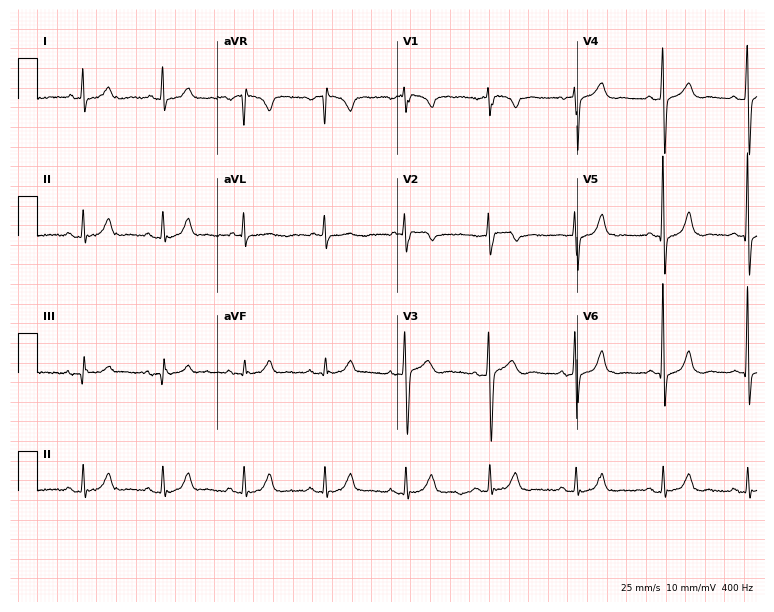
ECG (7.3-second recording at 400 Hz) — a 54-year-old male patient. Screened for six findings — first-degree AV block, right bundle branch block (RBBB), left bundle branch block (LBBB), sinus bradycardia, atrial fibrillation (AF), sinus tachycardia — none is recorded.